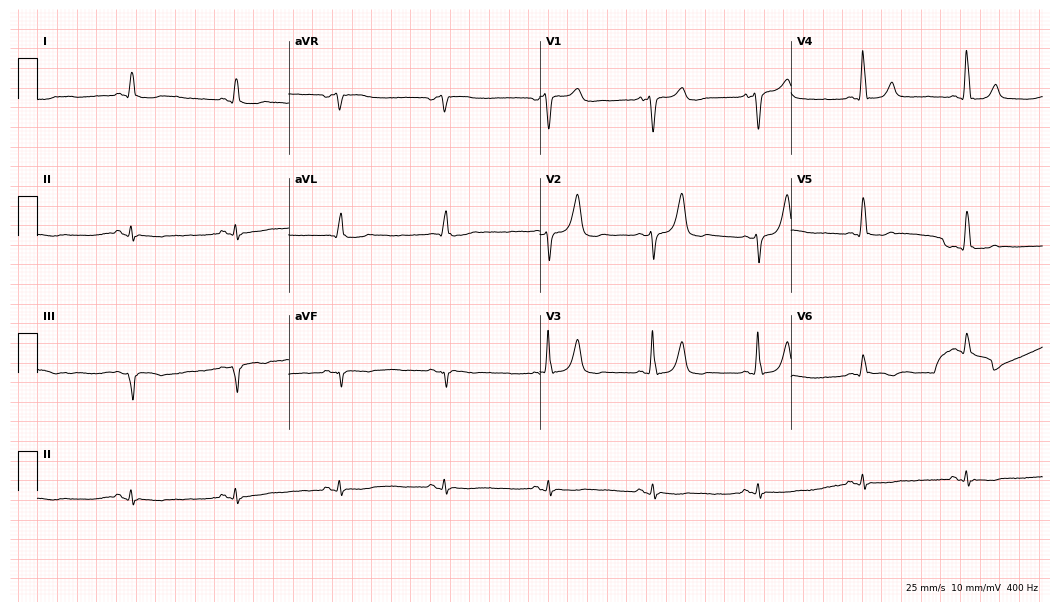
12-lead ECG (10.2-second recording at 400 Hz) from a male patient, 67 years old. Labelled as a normal ECG.